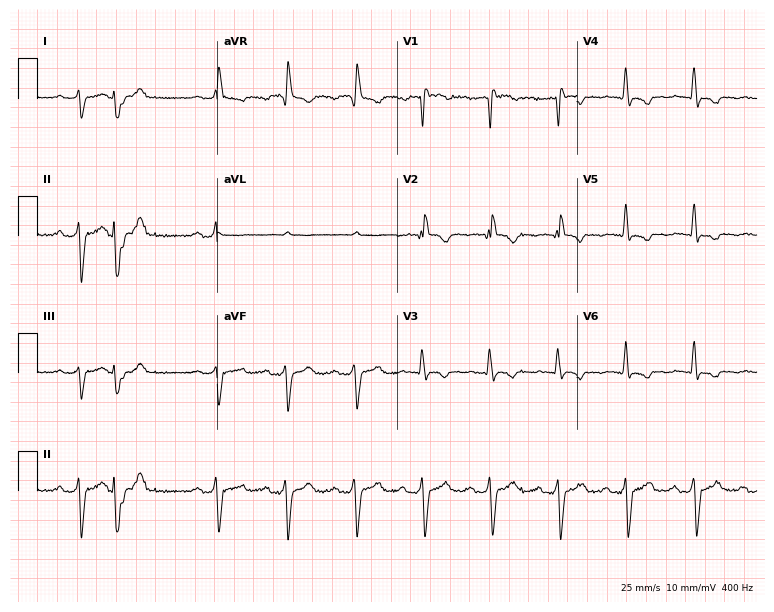
Resting 12-lead electrocardiogram (7.3-second recording at 400 Hz). Patient: a 76-year-old male. The tracing shows first-degree AV block, right bundle branch block (RBBB).